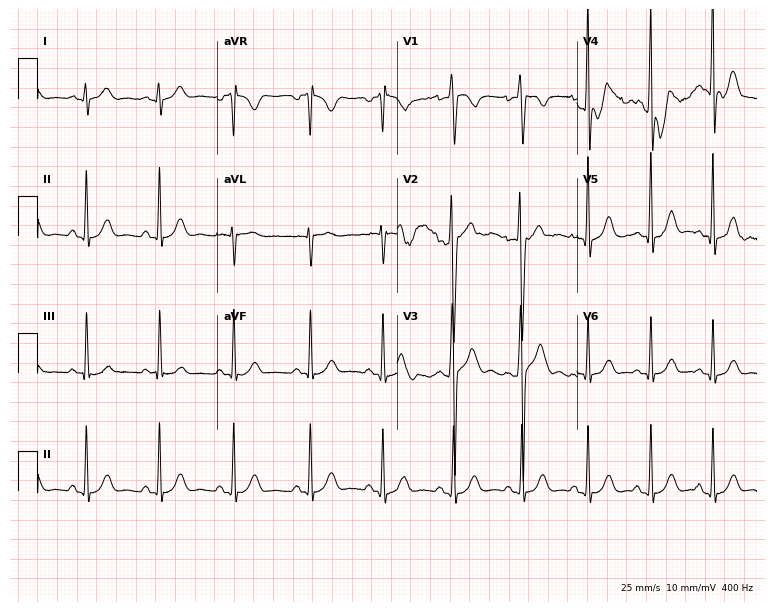
12-lead ECG from a 19-year-old male (7.3-second recording at 400 Hz). Recorded interpretation: within normal limits.